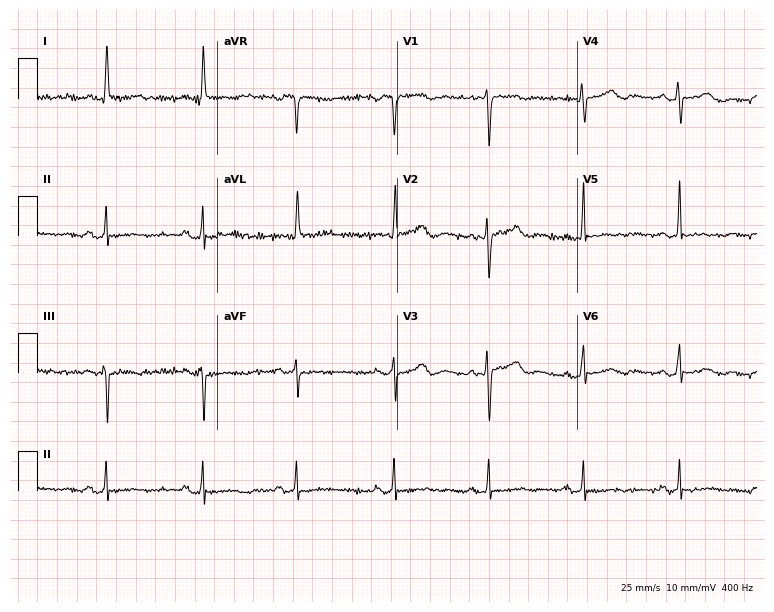
Standard 12-lead ECG recorded from a female patient, 66 years old. None of these six findings is recorded: first-degree AV block, right bundle branch block, left bundle branch block, sinus bradycardia, atrial fibrillation, sinus tachycardia.